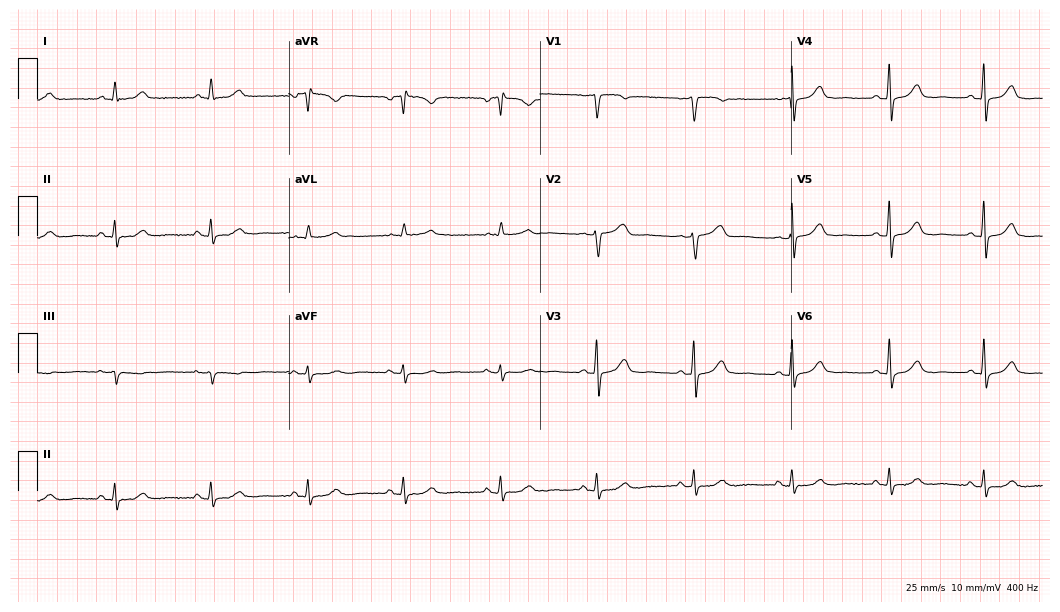
Electrocardiogram, a female, 49 years old. Of the six screened findings (first-degree AV block, right bundle branch block, left bundle branch block, sinus bradycardia, atrial fibrillation, sinus tachycardia), none is recorded. Other findings, if any, are not listed.